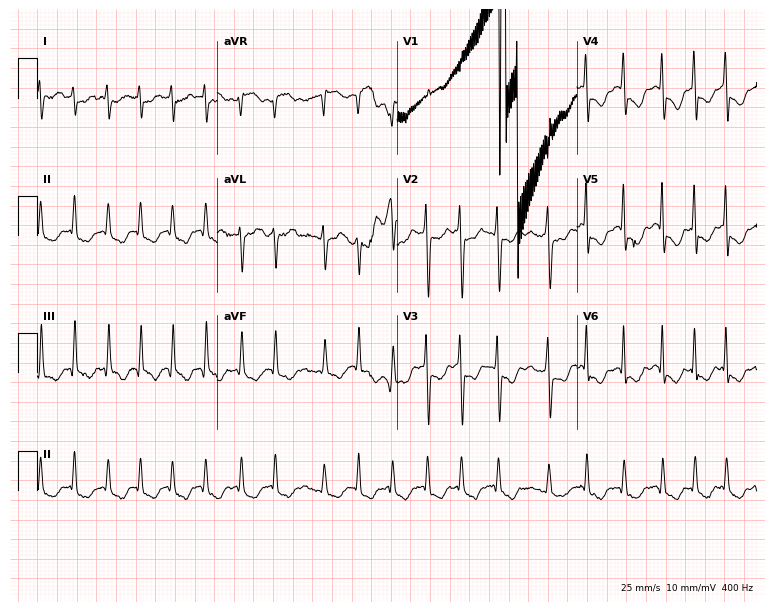
Electrocardiogram (7.3-second recording at 400 Hz), a 42-year-old female. Interpretation includes atrial fibrillation (AF).